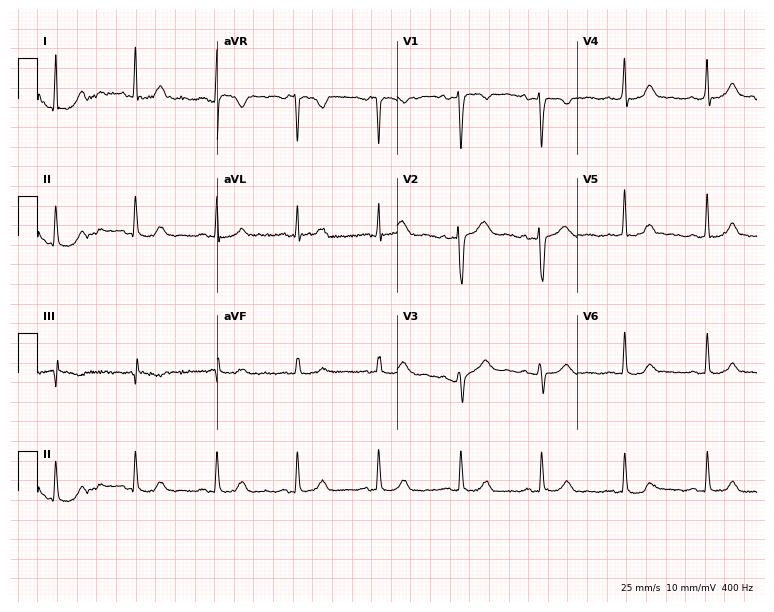
Resting 12-lead electrocardiogram (7.3-second recording at 400 Hz). Patient: a 52-year-old female. Read as a normal ECG.